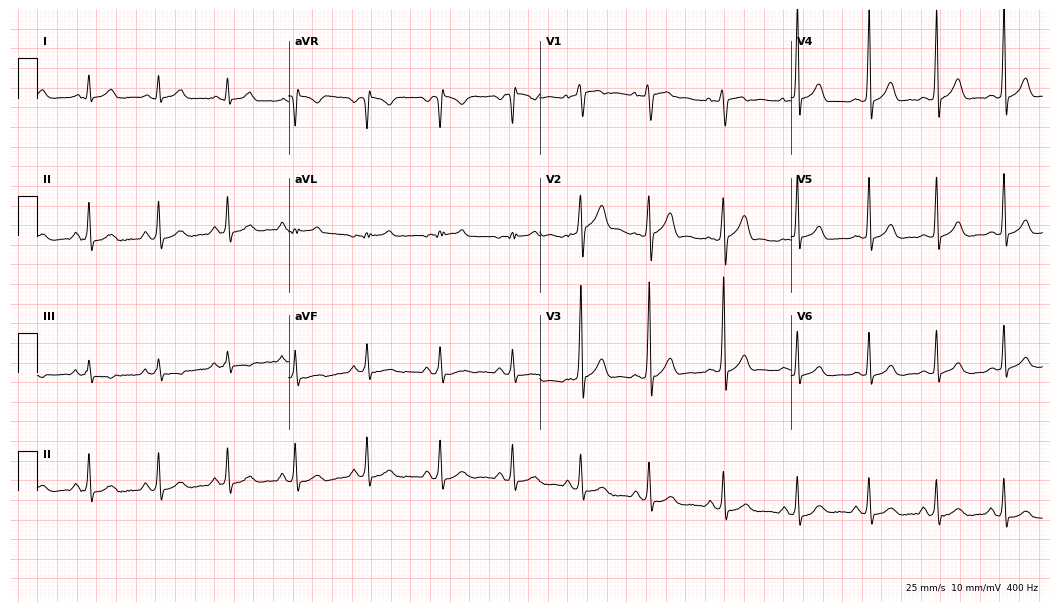
Standard 12-lead ECG recorded from a man, 22 years old (10.2-second recording at 400 Hz). Read as a normal ECG.